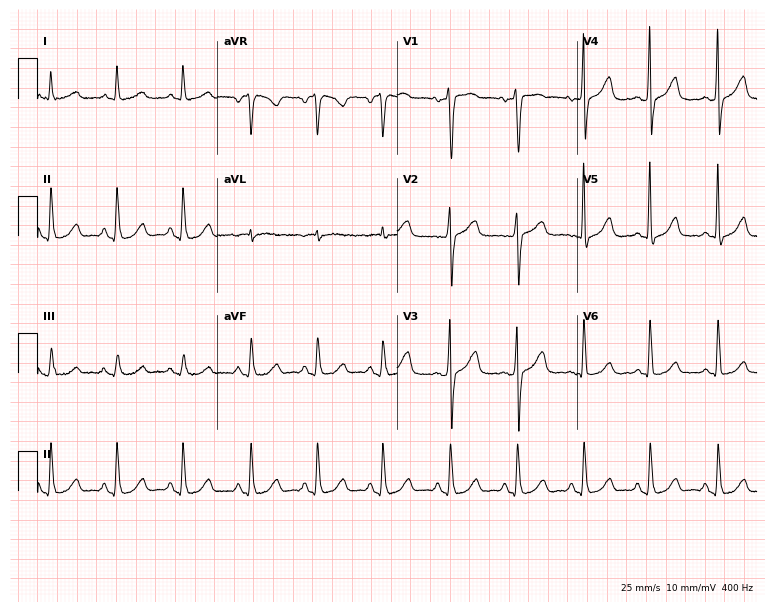
12-lead ECG from a female patient, 65 years old (7.3-second recording at 400 Hz). Recorded interpretation: within normal limits.